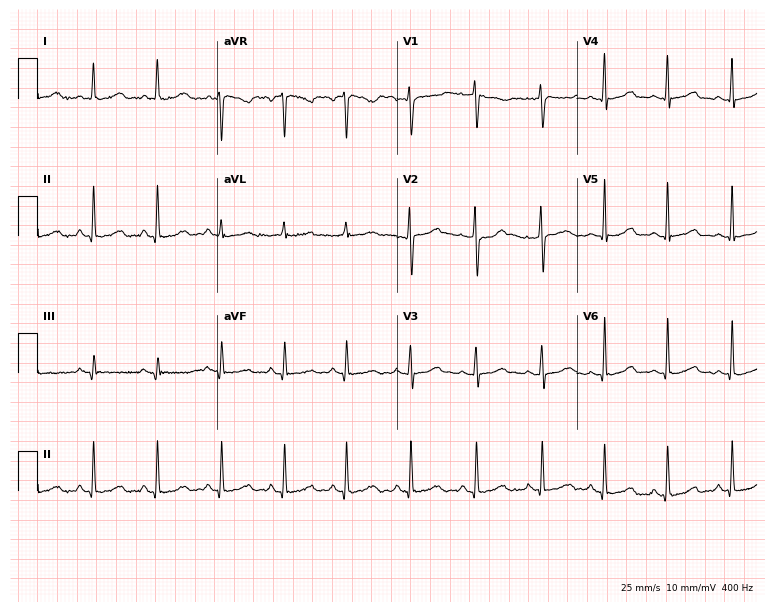
Standard 12-lead ECG recorded from a female patient, 40 years old. None of these six findings is recorded: first-degree AV block, right bundle branch block, left bundle branch block, sinus bradycardia, atrial fibrillation, sinus tachycardia.